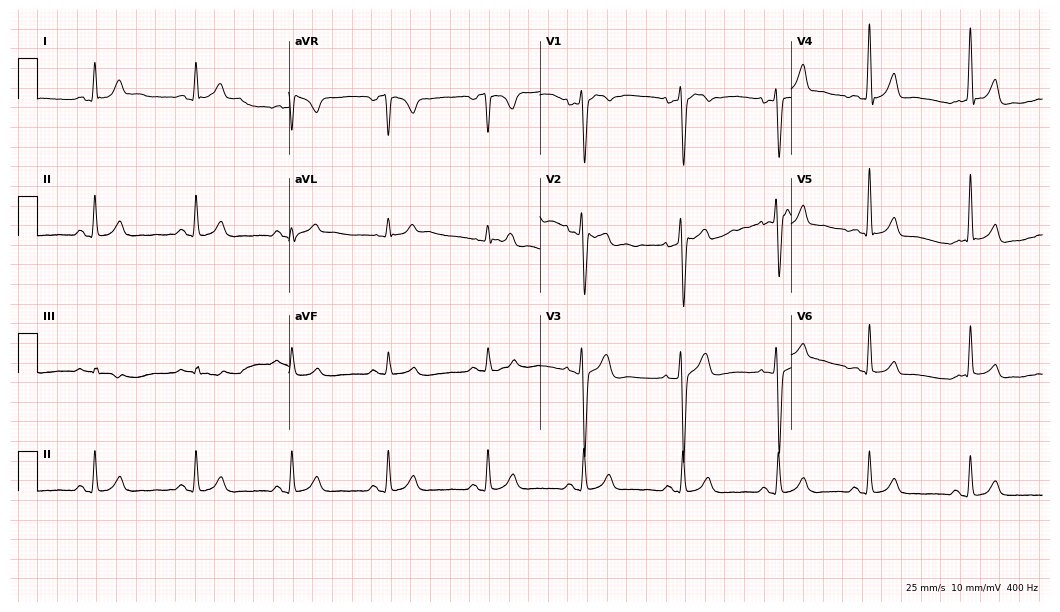
12-lead ECG from a 47-year-old man. Labelled as a normal ECG.